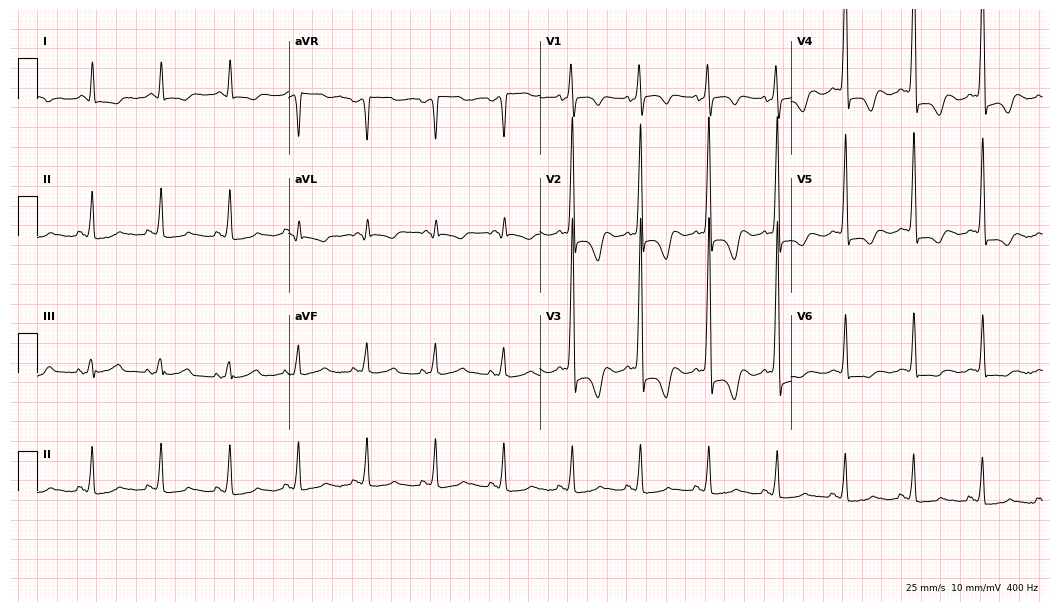
Electrocardiogram (10.2-second recording at 400 Hz), a male, 63 years old. Of the six screened findings (first-degree AV block, right bundle branch block, left bundle branch block, sinus bradycardia, atrial fibrillation, sinus tachycardia), none is recorded.